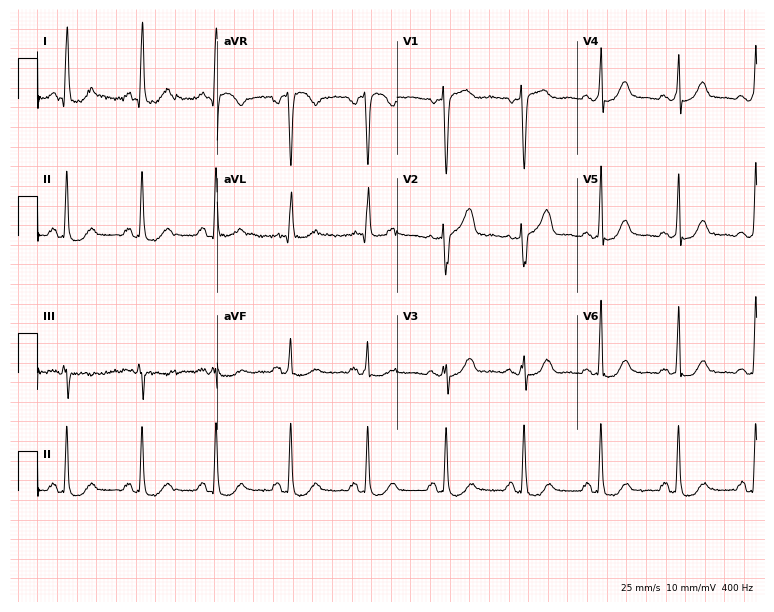
12-lead ECG from a 76-year-old female patient. Recorded interpretation: within normal limits.